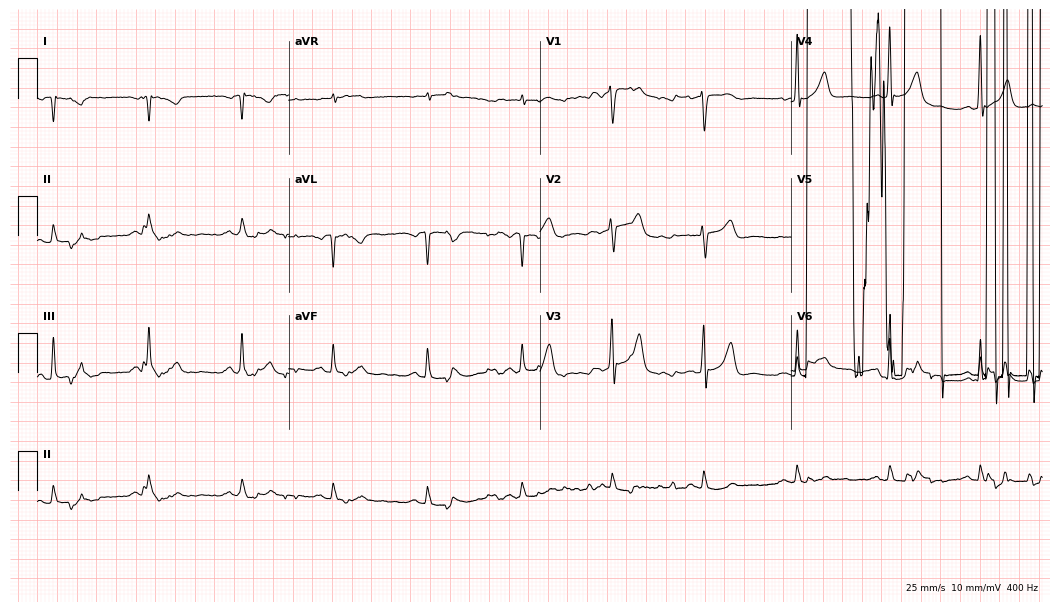
Standard 12-lead ECG recorded from a male, 69 years old (10.2-second recording at 400 Hz). None of these six findings is recorded: first-degree AV block, right bundle branch block, left bundle branch block, sinus bradycardia, atrial fibrillation, sinus tachycardia. Other findings, if any, are not listed.